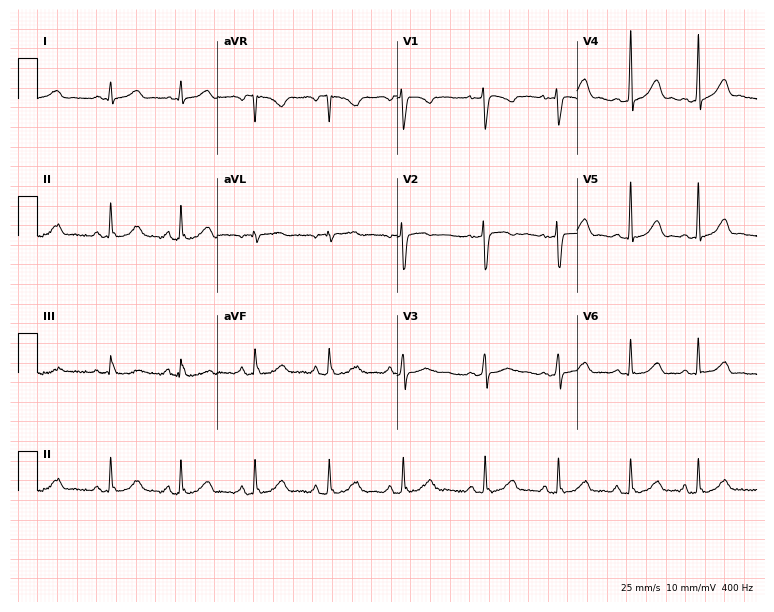
Standard 12-lead ECG recorded from a female, 21 years old. None of these six findings is recorded: first-degree AV block, right bundle branch block, left bundle branch block, sinus bradycardia, atrial fibrillation, sinus tachycardia. Other findings, if any, are not listed.